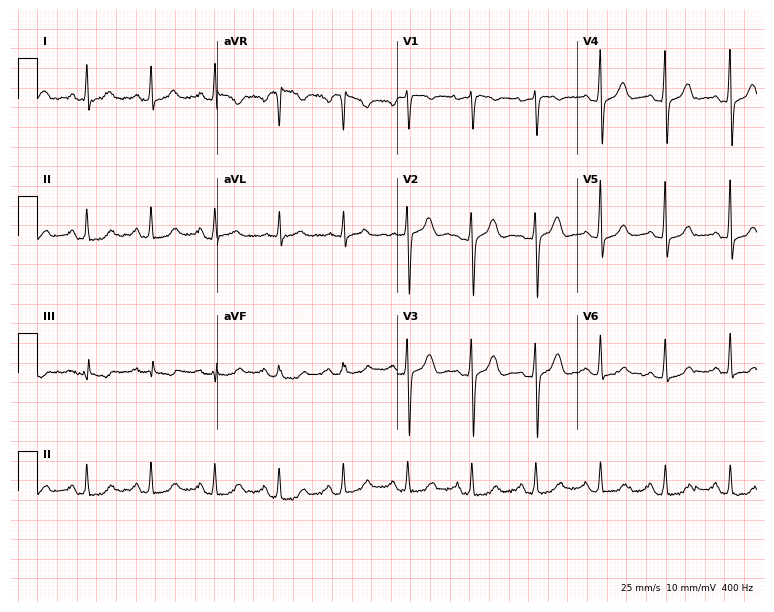
Standard 12-lead ECG recorded from a woman, 50 years old. Read as a normal ECG.